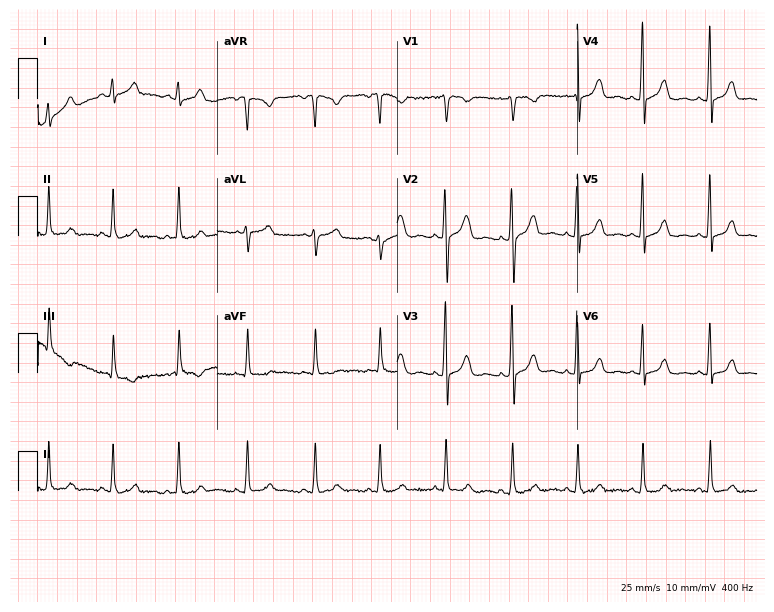
12-lead ECG from a woman, 21 years old (7.3-second recording at 400 Hz). No first-degree AV block, right bundle branch block, left bundle branch block, sinus bradycardia, atrial fibrillation or sinus tachycardia recorded for this tracing. Other findings, if any, are not listed.